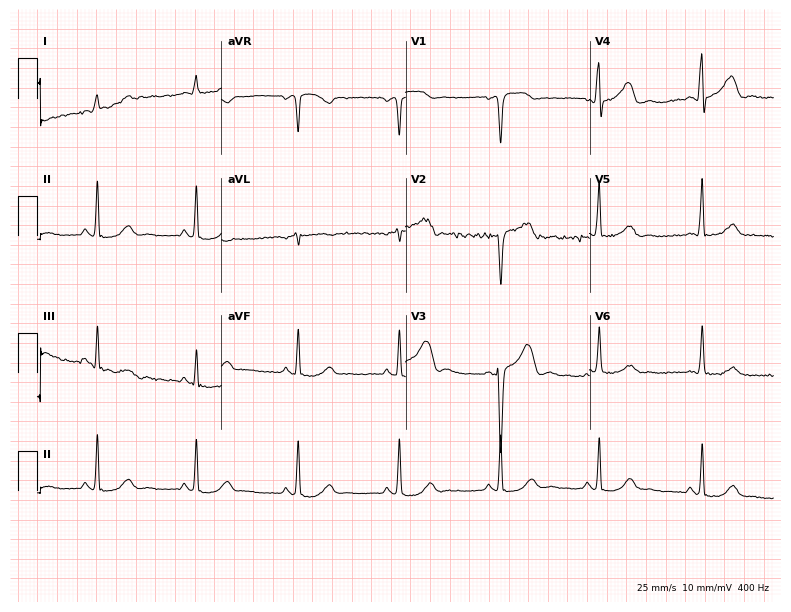
12-lead ECG from a male patient, 77 years old. No first-degree AV block, right bundle branch block (RBBB), left bundle branch block (LBBB), sinus bradycardia, atrial fibrillation (AF) or sinus tachycardia recorded for this tracing.